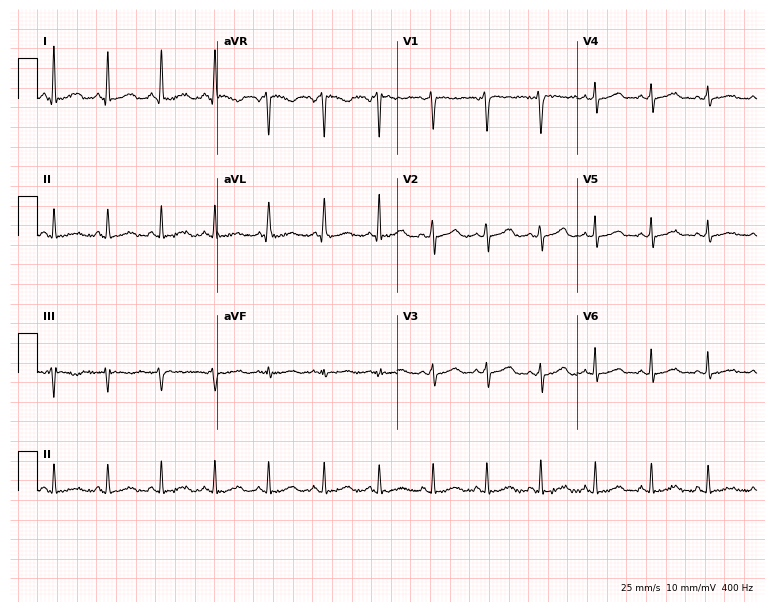
Resting 12-lead electrocardiogram. Patient: a woman, 26 years old. The tracing shows sinus tachycardia (a sinus rate of 100 beats per minute or more).